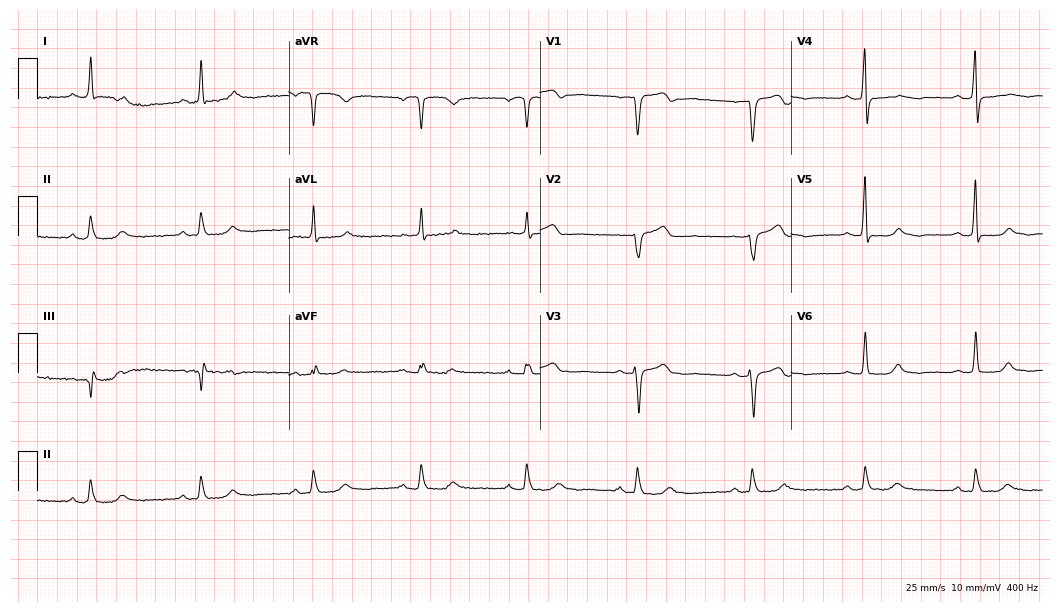
12-lead ECG from a male, 62 years old. Findings include right bundle branch block.